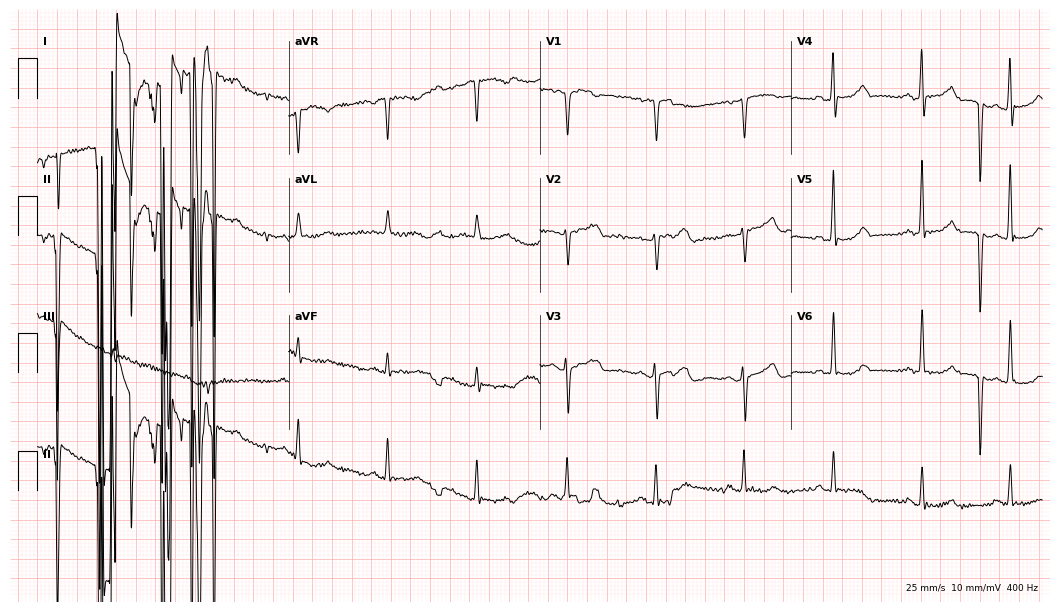
ECG (10.2-second recording at 400 Hz) — a female, 56 years old. Screened for six findings — first-degree AV block, right bundle branch block, left bundle branch block, sinus bradycardia, atrial fibrillation, sinus tachycardia — none is recorded.